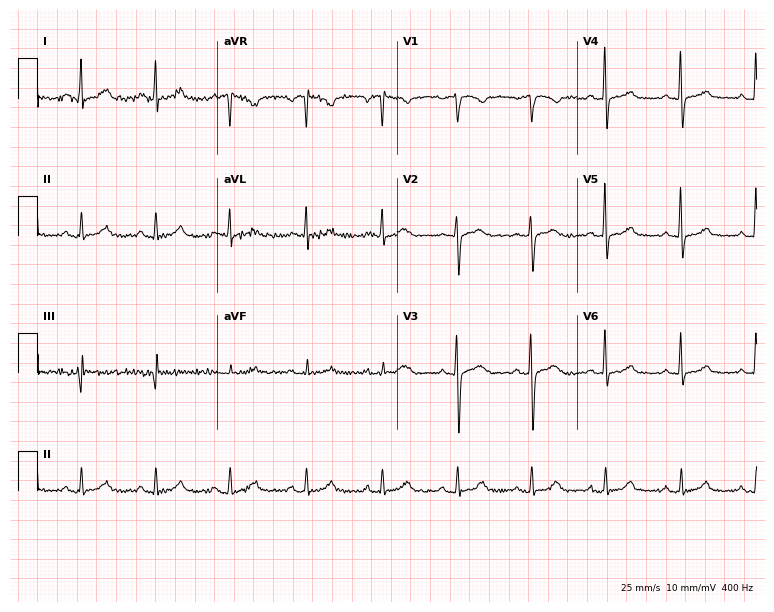
Resting 12-lead electrocardiogram. Patient: a woman, 64 years old. Read as a normal ECG.